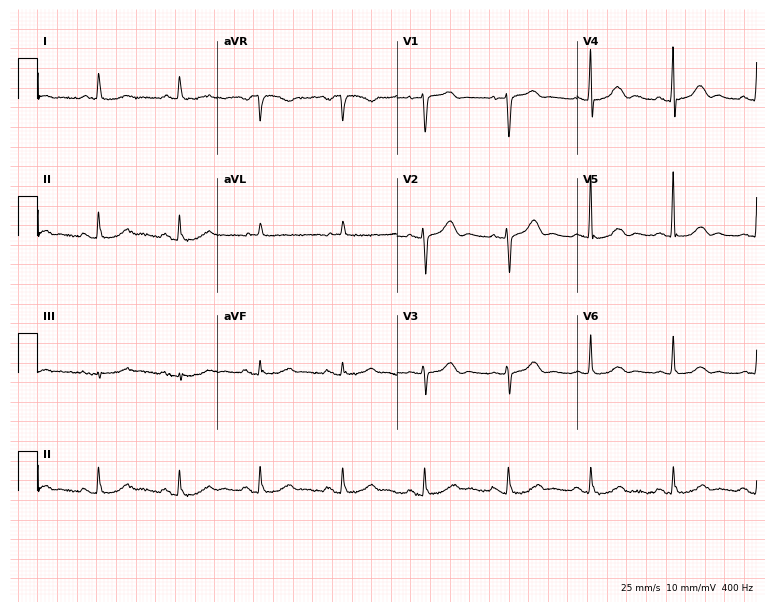
12-lead ECG from an 81-year-old female (7.3-second recording at 400 Hz). Recorded interpretation: within normal limits.